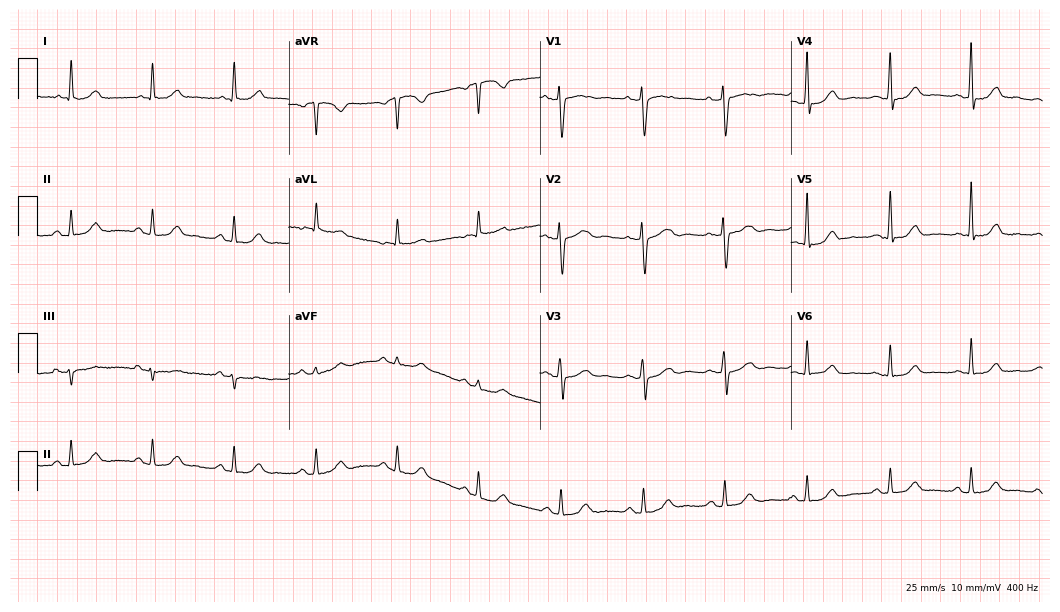
ECG — a woman, 62 years old. Screened for six findings — first-degree AV block, right bundle branch block, left bundle branch block, sinus bradycardia, atrial fibrillation, sinus tachycardia — none is recorded. Other findings, if any, are not listed.